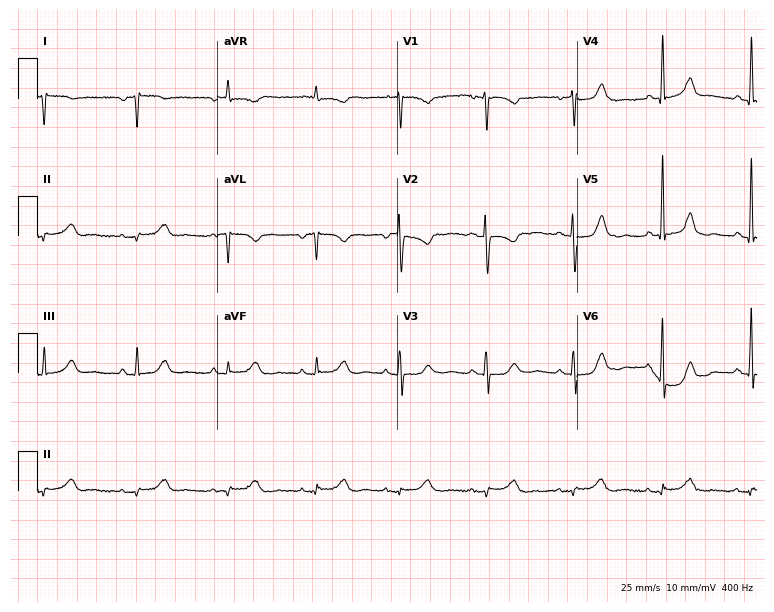
Standard 12-lead ECG recorded from a female patient, 55 years old (7.3-second recording at 400 Hz). None of these six findings is recorded: first-degree AV block, right bundle branch block, left bundle branch block, sinus bradycardia, atrial fibrillation, sinus tachycardia.